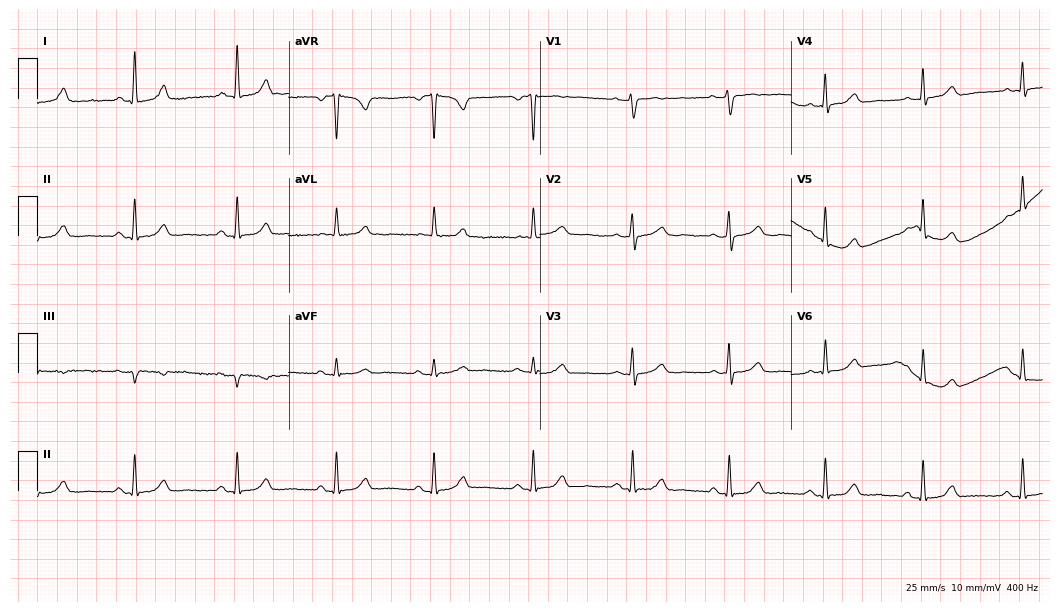
12-lead ECG from a female, 46 years old (10.2-second recording at 400 Hz). Recorded interpretation: within normal limits.